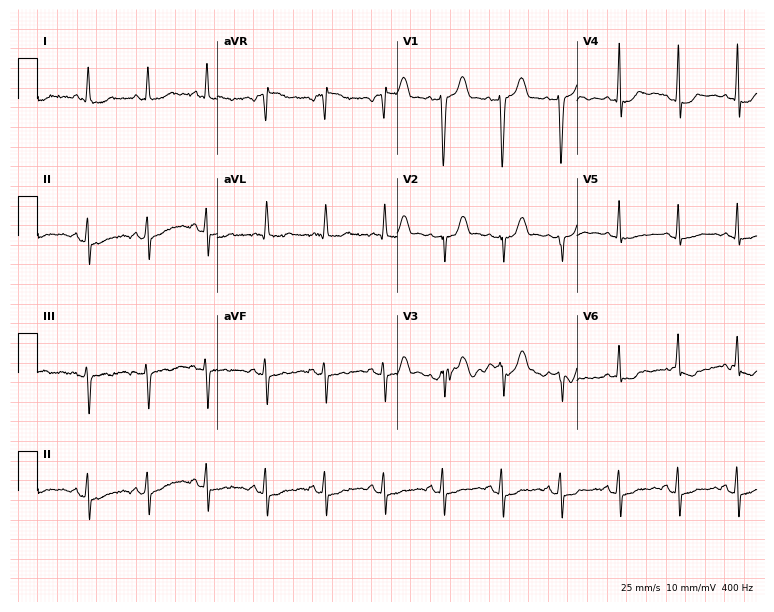
ECG — a 70-year-old female patient. Screened for six findings — first-degree AV block, right bundle branch block, left bundle branch block, sinus bradycardia, atrial fibrillation, sinus tachycardia — none is recorded.